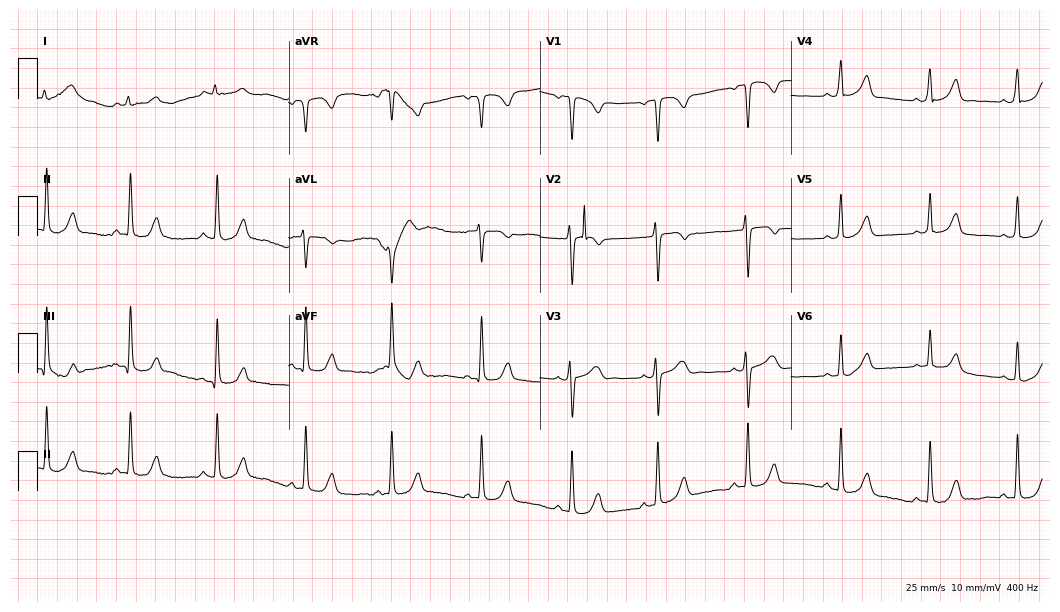
12-lead ECG from a 25-year-old female patient. Labelled as a normal ECG.